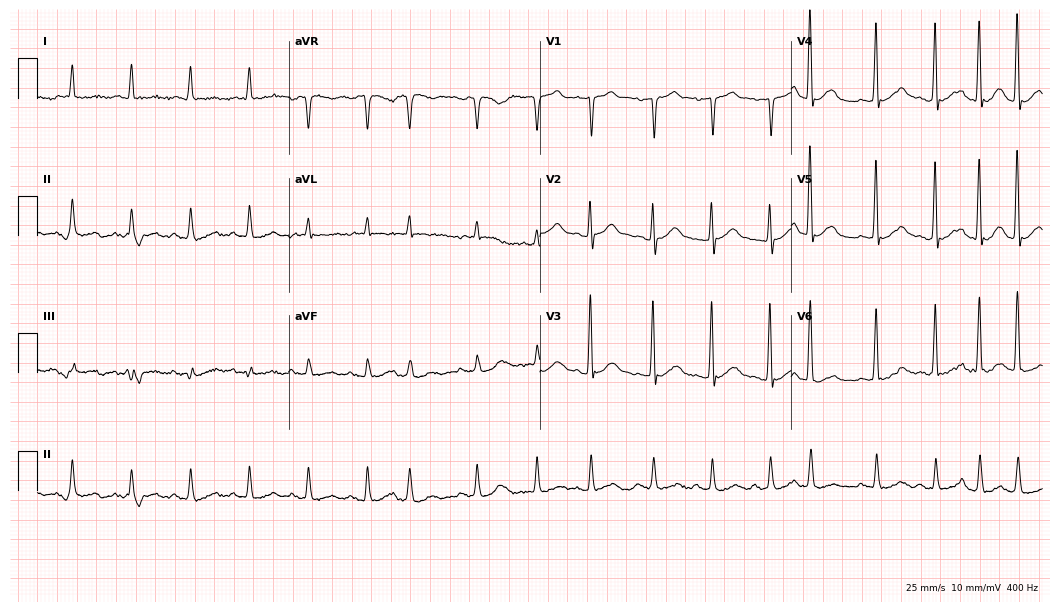
ECG — a 69-year-old man. Findings include sinus tachycardia (a sinus rate of 100 beats per minute or more).